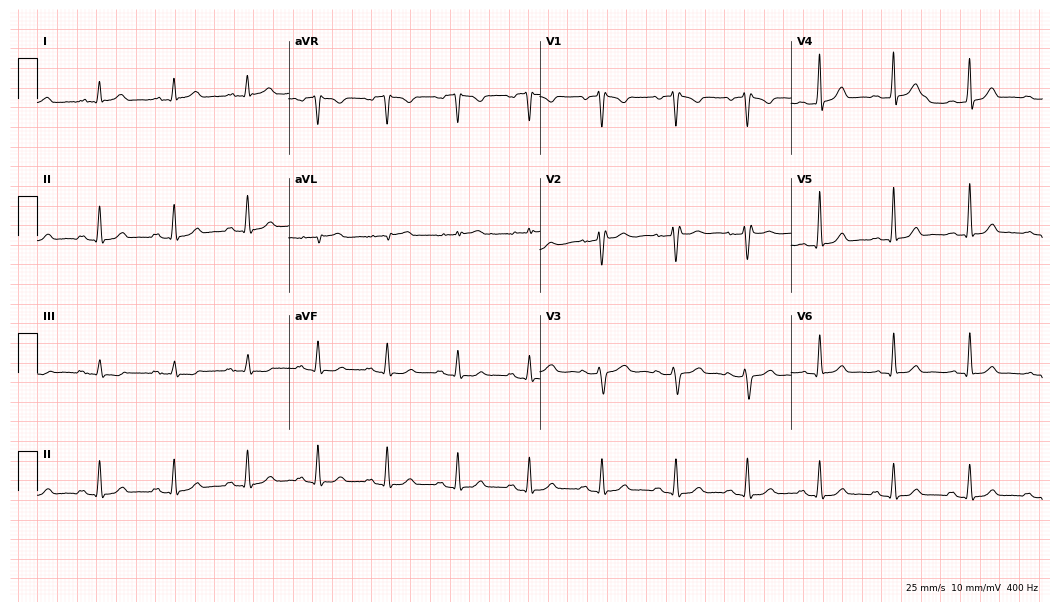
12-lead ECG from a female, 40 years old. No first-degree AV block, right bundle branch block, left bundle branch block, sinus bradycardia, atrial fibrillation or sinus tachycardia recorded for this tracing. Other findings, if any, are not listed.